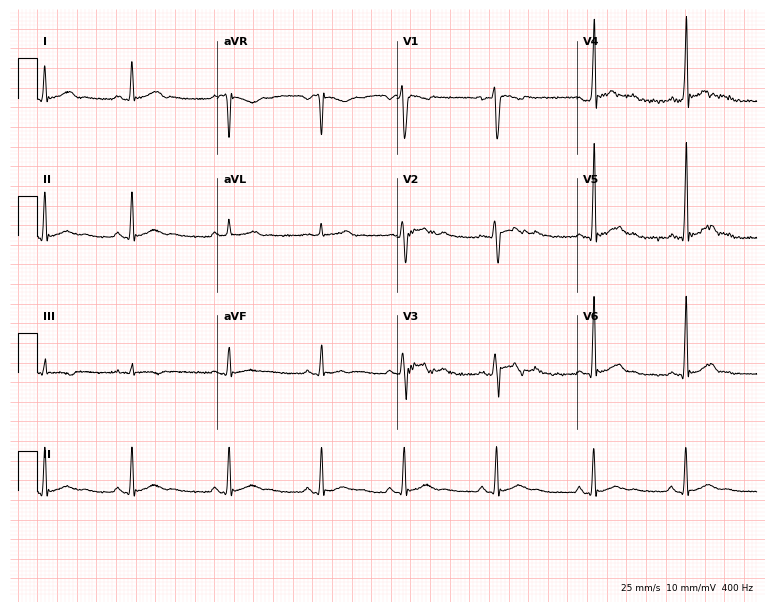
12-lead ECG from a 17-year-old male. No first-degree AV block, right bundle branch block, left bundle branch block, sinus bradycardia, atrial fibrillation or sinus tachycardia recorded for this tracing.